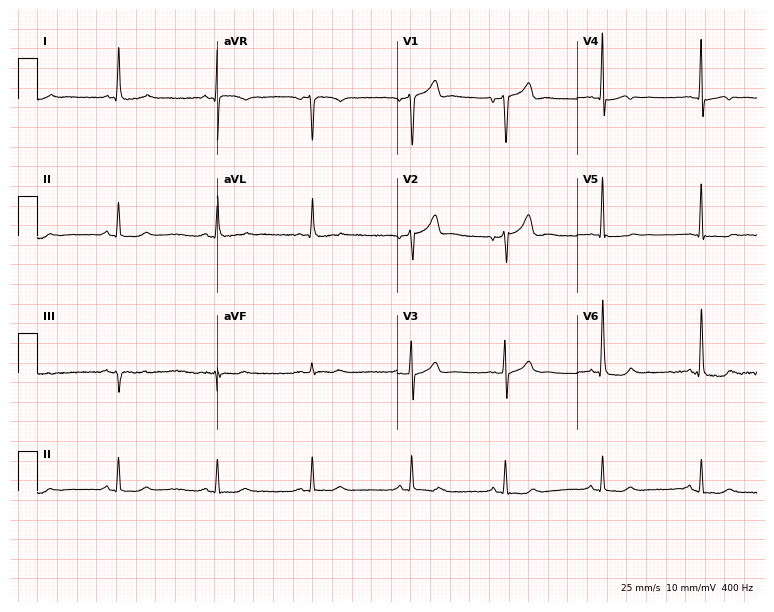
Standard 12-lead ECG recorded from a male, 82 years old (7.3-second recording at 400 Hz). None of these six findings is recorded: first-degree AV block, right bundle branch block (RBBB), left bundle branch block (LBBB), sinus bradycardia, atrial fibrillation (AF), sinus tachycardia.